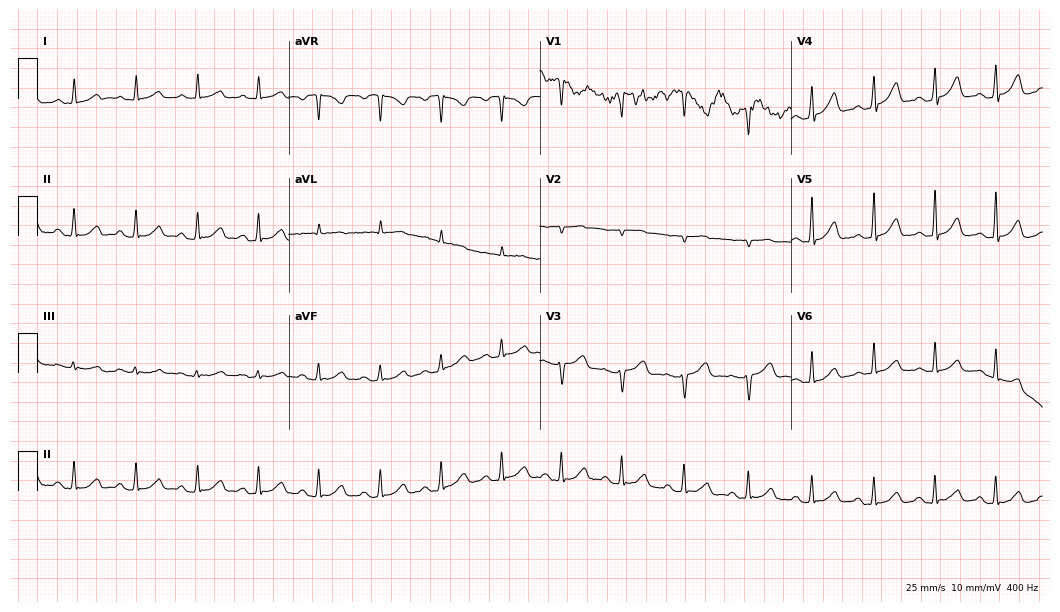
12-lead ECG from a 49-year-old female. Labelled as a normal ECG.